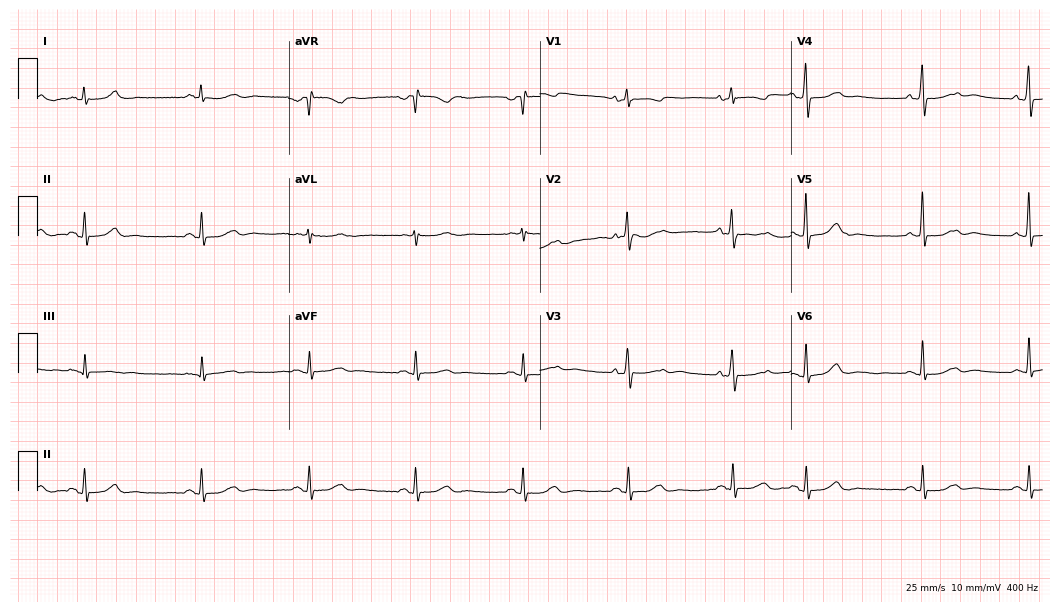
ECG (10.2-second recording at 400 Hz) — a woman, 82 years old. Labelled as a normal ECG.